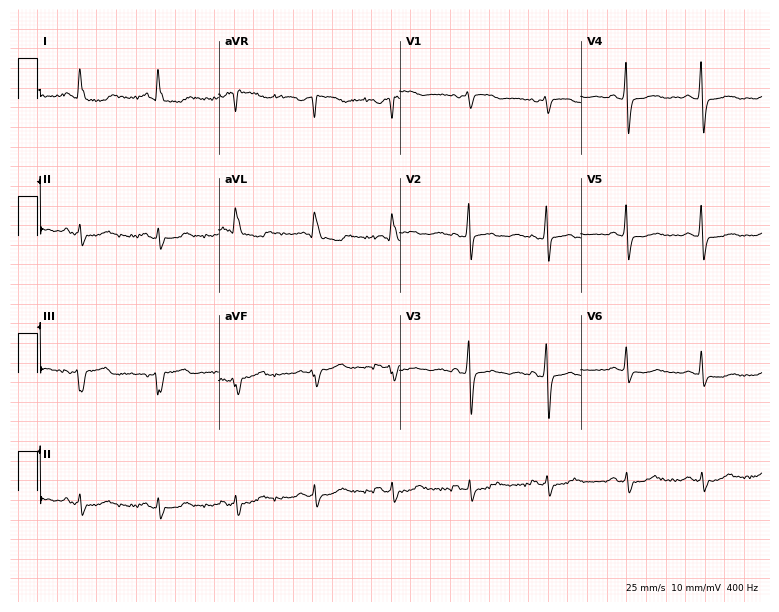
12-lead ECG from a 68-year-old female. No first-degree AV block, right bundle branch block, left bundle branch block, sinus bradycardia, atrial fibrillation or sinus tachycardia recorded for this tracing.